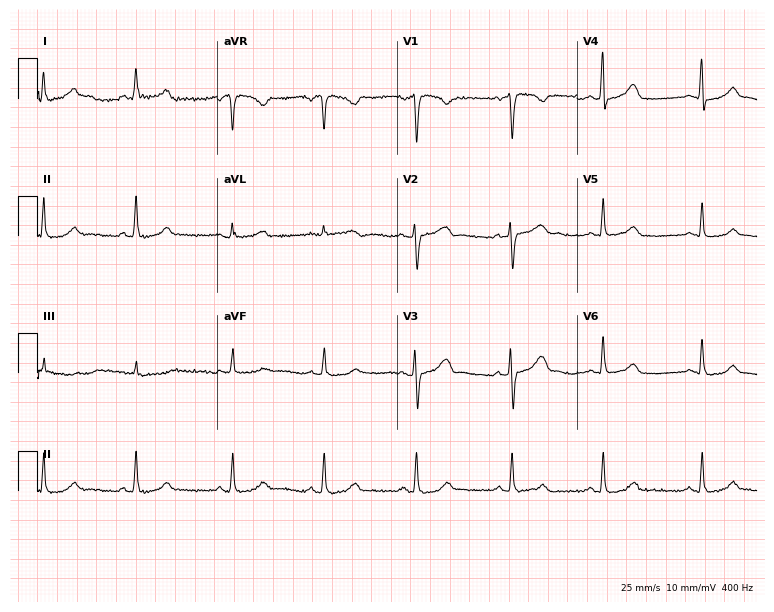
ECG — a female, 34 years old. Screened for six findings — first-degree AV block, right bundle branch block (RBBB), left bundle branch block (LBBB), sinus bradycardia, atrial fibrillation (AF), sinus tachycardia — none is recorded. Only these six findings were labelled.